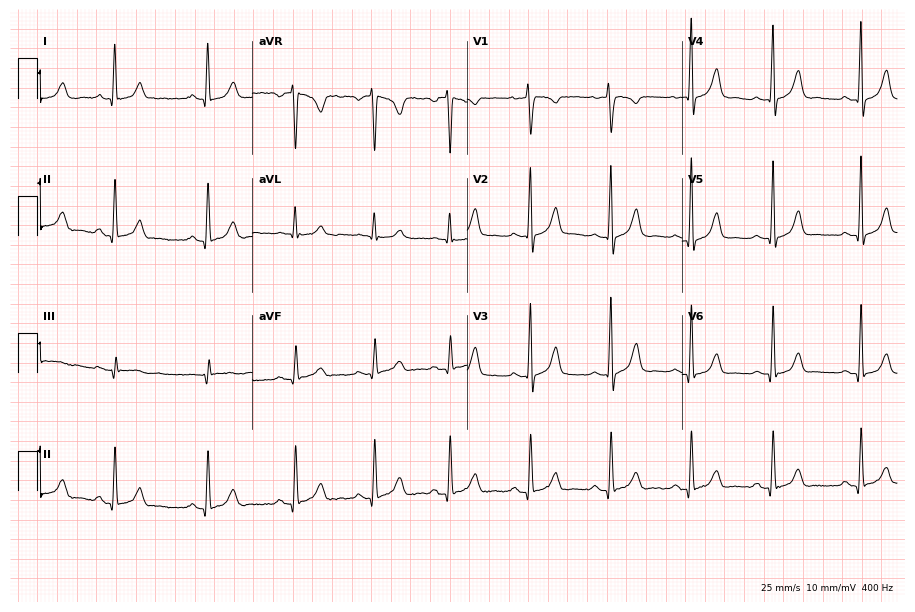
Resting 12-lead electrocardiogram. Patient: a 23-year-old female. Read as a normal ECG.